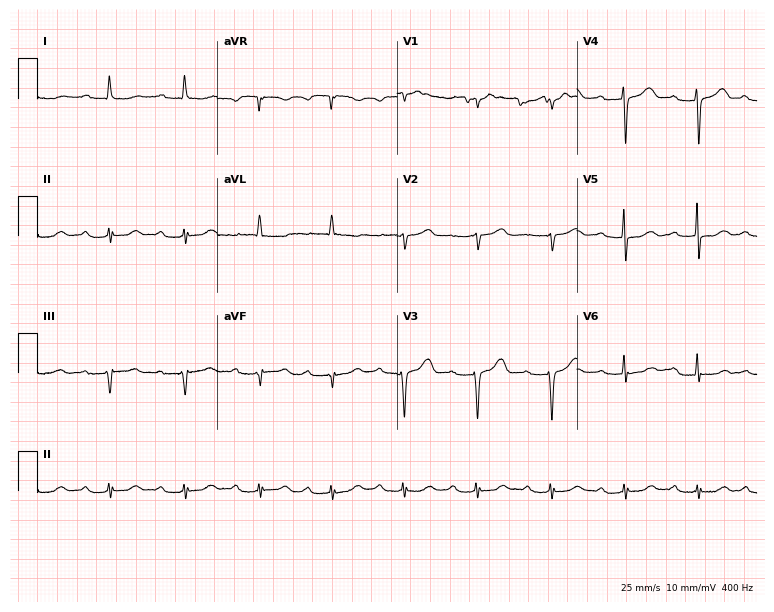
12-lead ECG from a 79-year-old woman. Shows first-degree AV block.